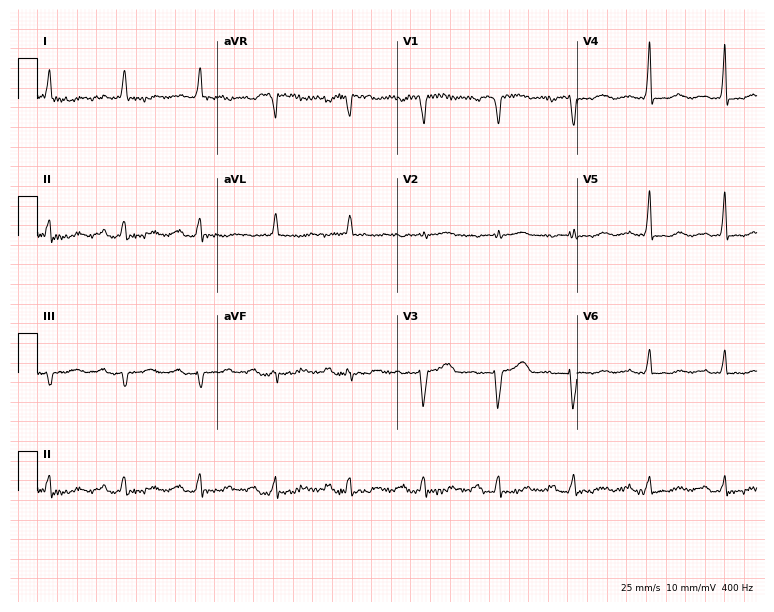
12-lead ECG from a 79-year-old female. No first-degree AV block, right bundle branch block, left bundle branch block, sinus bradycardia, atrial fibrillation or sinus tachycardia recorded for this tracing. Findings outside these six are not listed.